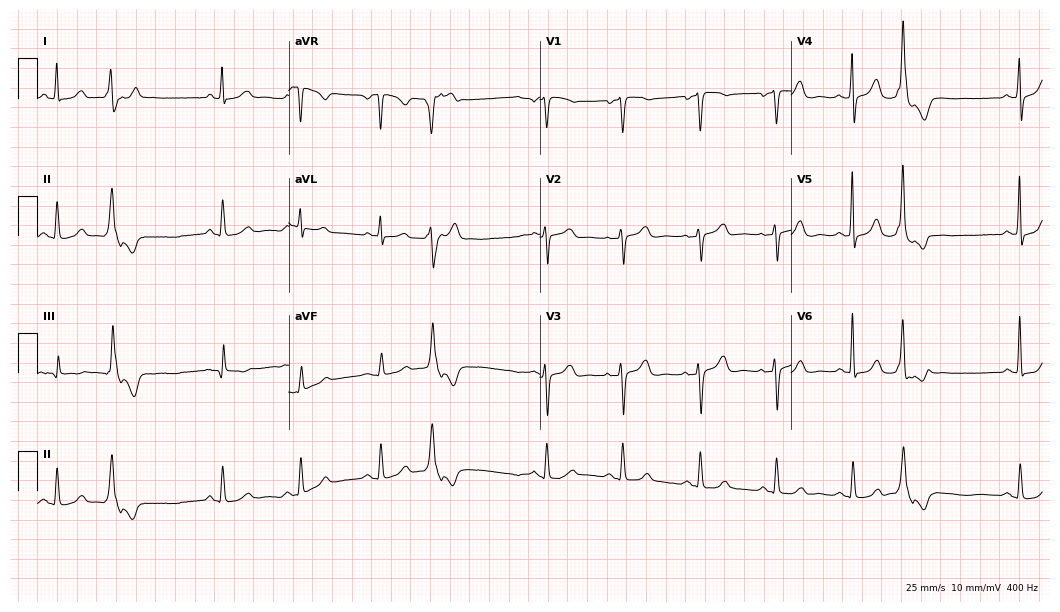
12-lead ECG from a female patient, 58 years old. No first-degree AV block, right bundle branch block, left bundle branch block, sinus bradycardia, atrial fibrillation or sinus tachycardia recorded for this tracing.